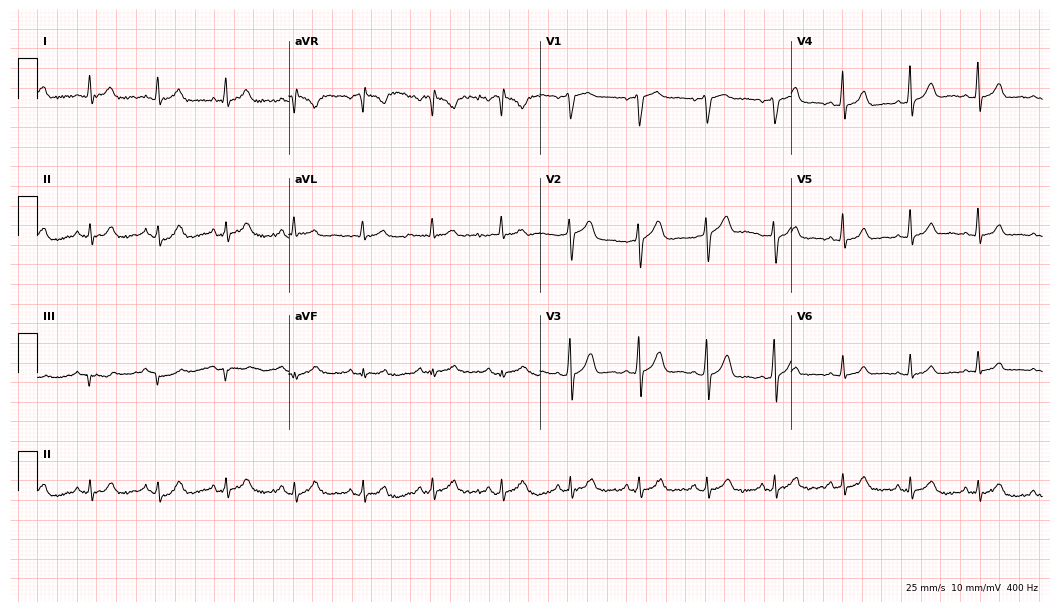
Electrocardiogram, a male, 64 years old. Overall reading on record: normal ECG.